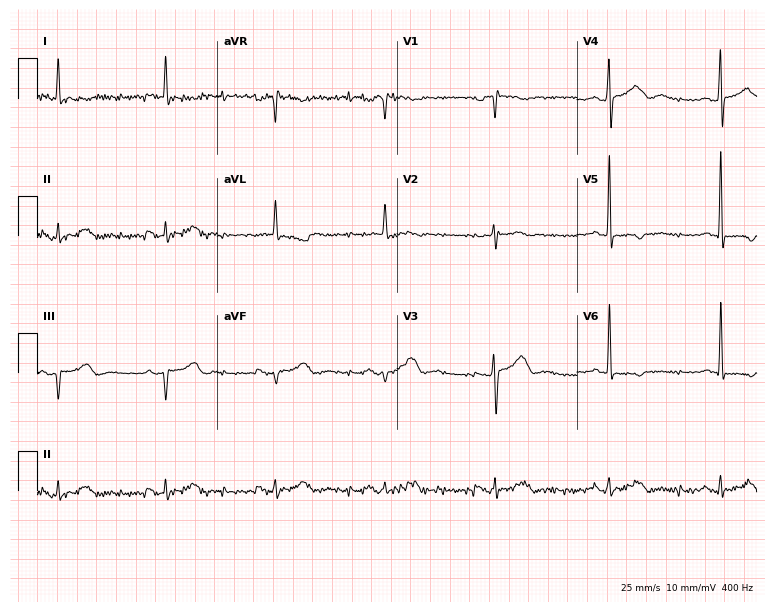
Standard 12-lead ECG recorded from an 81-year-old male patient (7.3-second recording at 400 Hz). None of these six findings is recorded: first-degree AV block, right bundle branch block (RBBB), left bundle branch block (LBBB), sinus bradycardia, atrial fibrillation (AF), sinus tachycardia. Other findings, if any, are not listed.